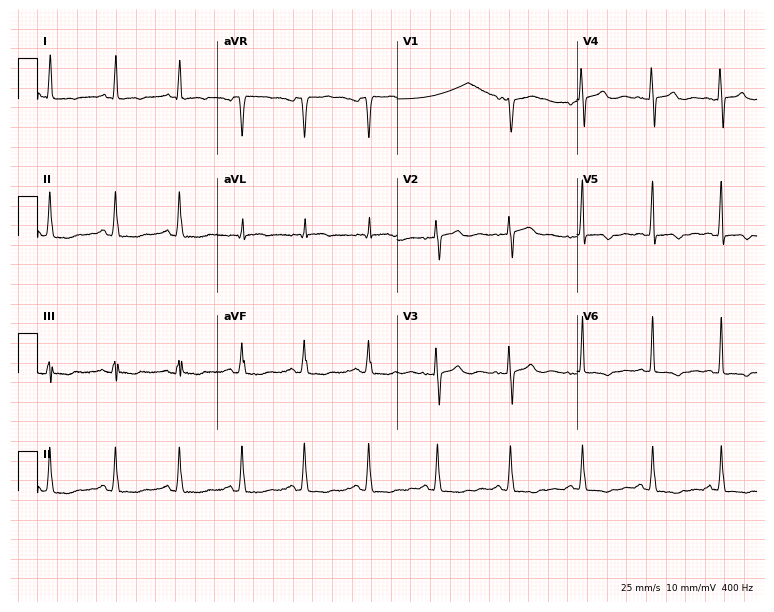
Electrocardiogram (7.3-second recording at 400 Hz), a female patient, 33 years old. Of the six screened findings (first-degree AV block, right bundle branch block, left bundle branch block, sinus bradycardia, atrial fibrillation, sinus tachycardia), none is recorded. Other findings, if any, are not listed.